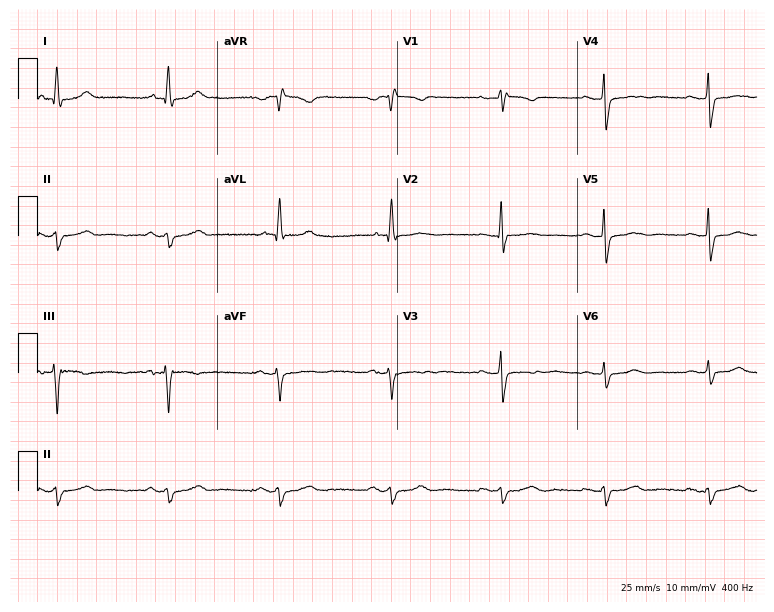
12-lead ECG from a woman, 70 years old. Screened for six findings — first-degree AV block, right bundle branch block, left bundle branch block, sinus bradycardia, atrial fibrillation, sinus tachycardia — none is recorded.